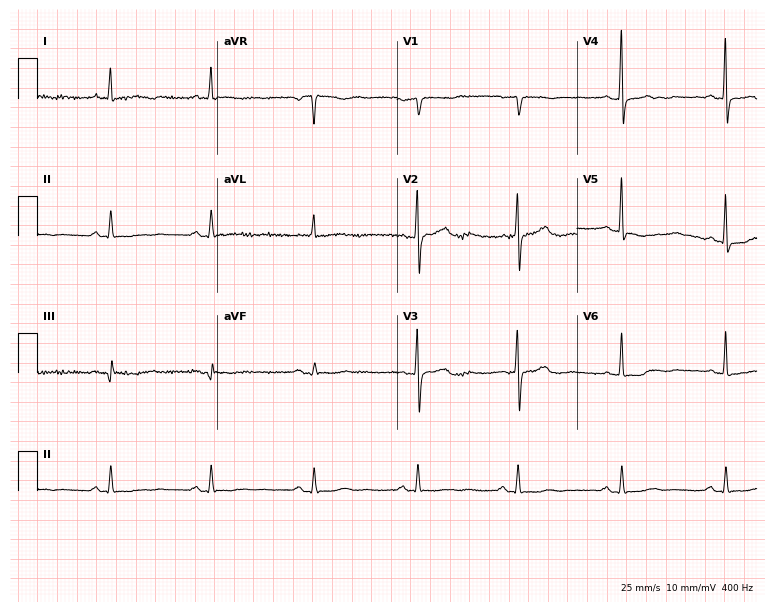
Electrocardiogram (7.3-second recording at 400 Hz), a female, 59 years old. Overall reading on record: normal ECG.